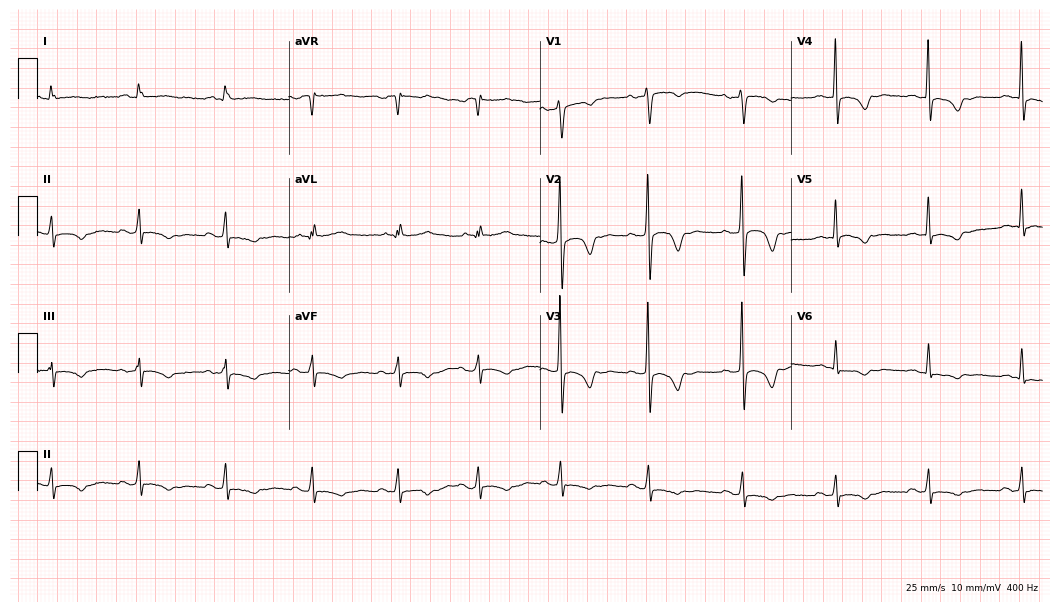
ECG — a 33-year-old male patient. Screened for six findings — first-degree AV block, right bundle branch block, left bundle branch block, sinus bradycardia, atrial fibrillation, sinus tachycardia — none is recorded. Only these six findings were labelled.